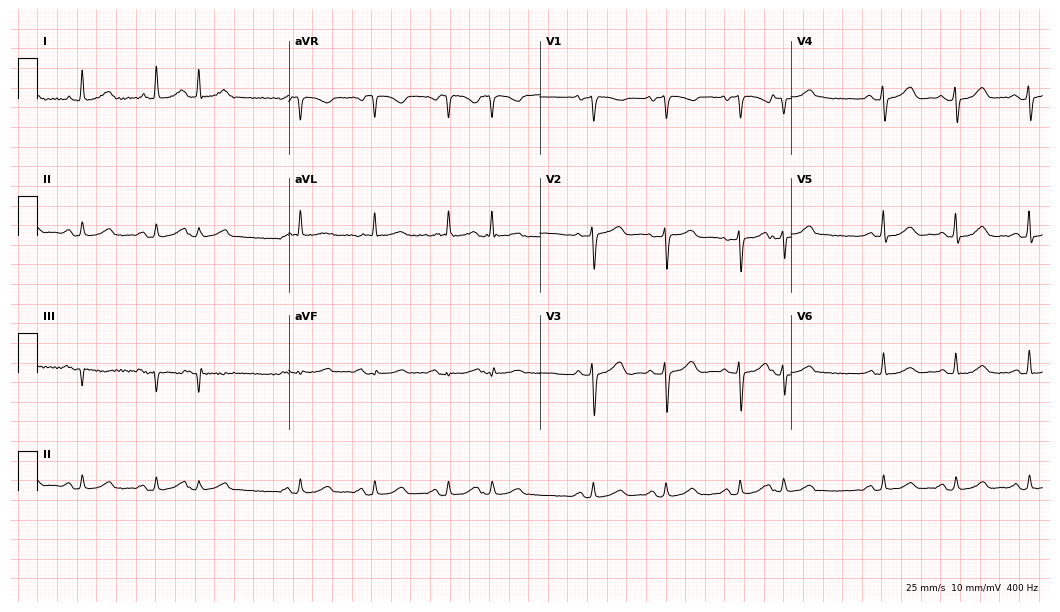
ECG (10.2-second recording at 400 Hz) — an 80-year-old woman. Screened for six findings — first-degree AV block, right bundle branch block, left bundle branch block, sinus bradycardia, atrial fibrillation, sinus tachycardia — none is recorded. Findings outside these six are not listed.